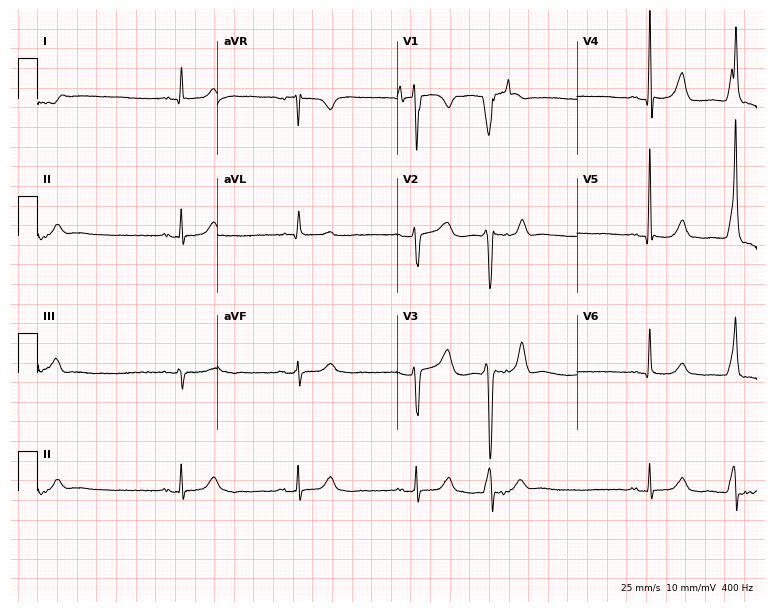
Resting 12-lead electrocardiogram (7.3-second recording at 400 Hz). Patient: a male, 81 years old. The tracing shows sinus bradycardia (a sinus rate of 50 beats per minute or less).